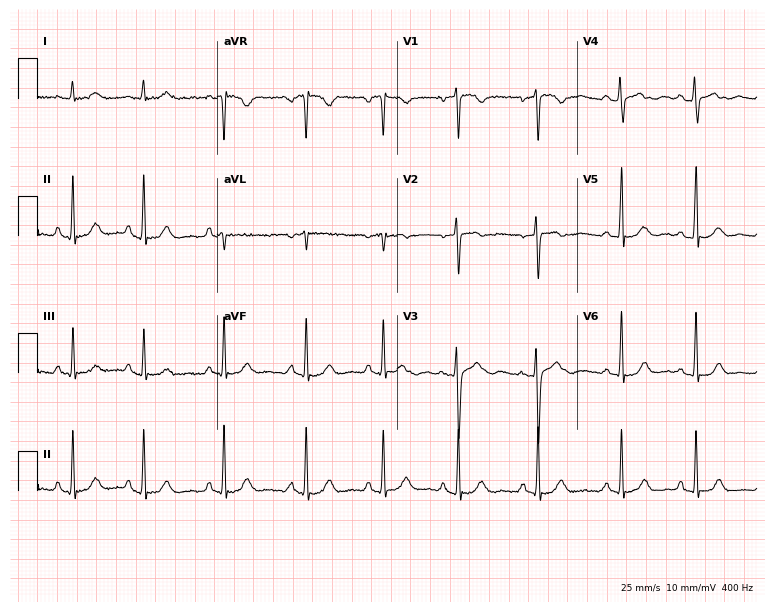
ECG — a 42-year-old female patient. Screened for six findings — first-degree AV block, right bundle branch block, left bundle branch block, sinus bradycardia, atrial fibrillation, sinus tachycardia — none is recorded. Findings outside these six are not listed.